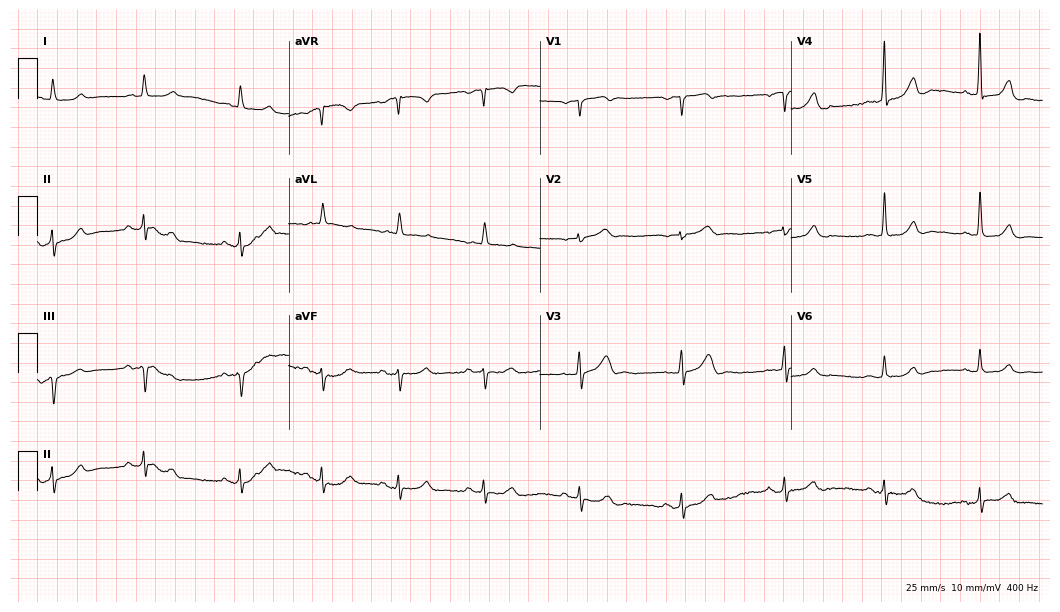
Electrocardiogram, a male patient, 81 years old. Overall reading on record: normal ECG.